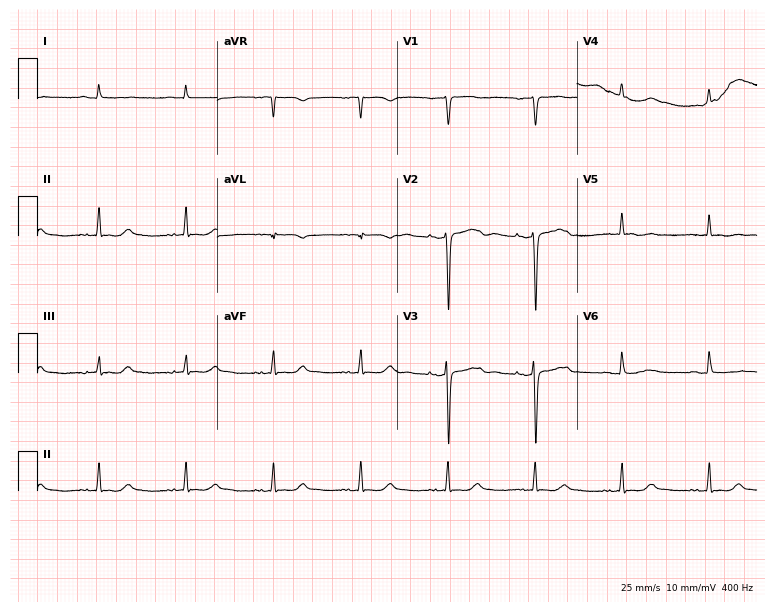
Standard 12-lead ECG recorded from an 83-year-old female. None of these six findings is recorded: first-degree AV block, right bundle branch block, left bundle branch block, sinus bradycardia, atrial fibrillation, sinus tachycardia.